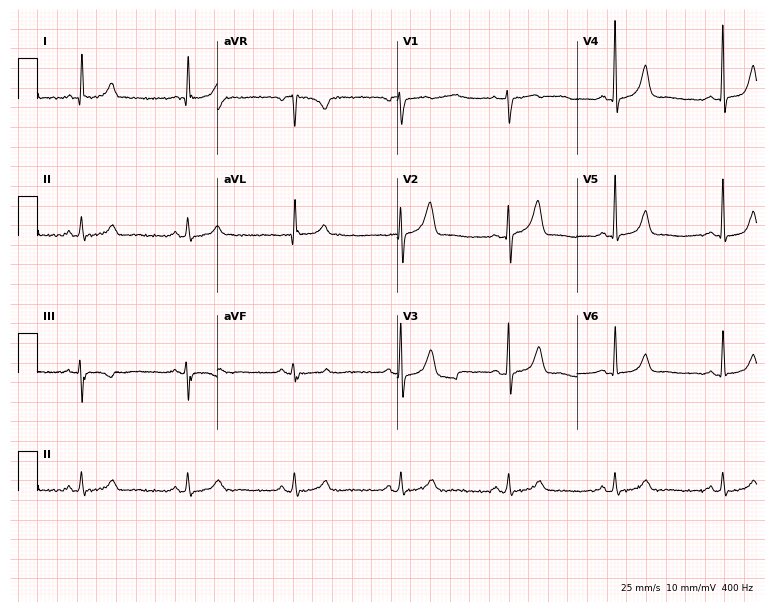
ECG — a 66-year-old man. Labelled as a normal ECG.